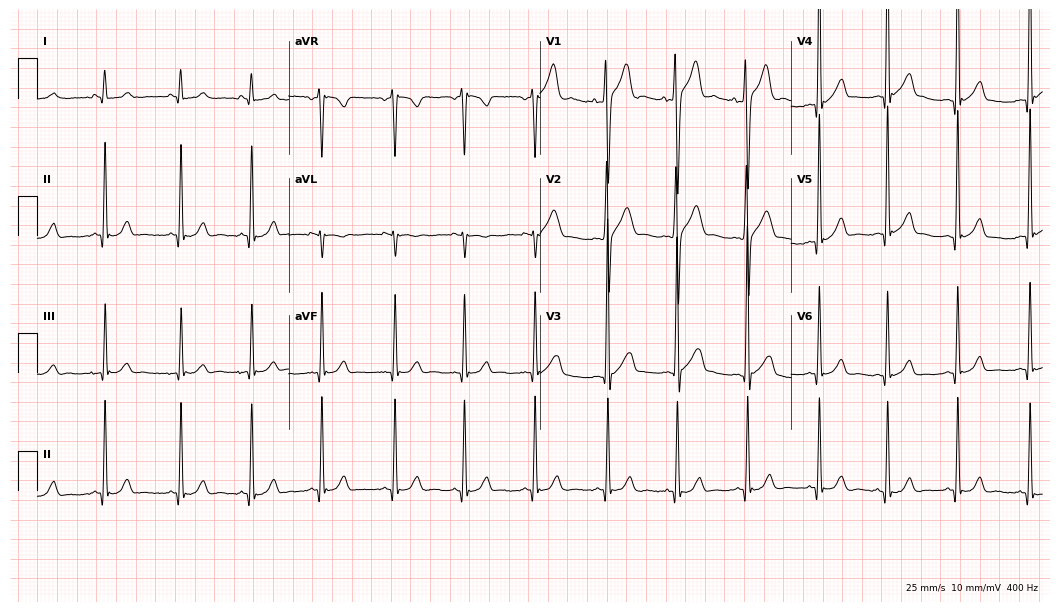
12-lead ECG from a man, 20 years old. No first-degree AV block, right bundle branch block, left bundle branch block, sinus bradycardia, atrial fibrillation or sinus tachycardia recorded for this tracing. Findings outside these six are not listed.